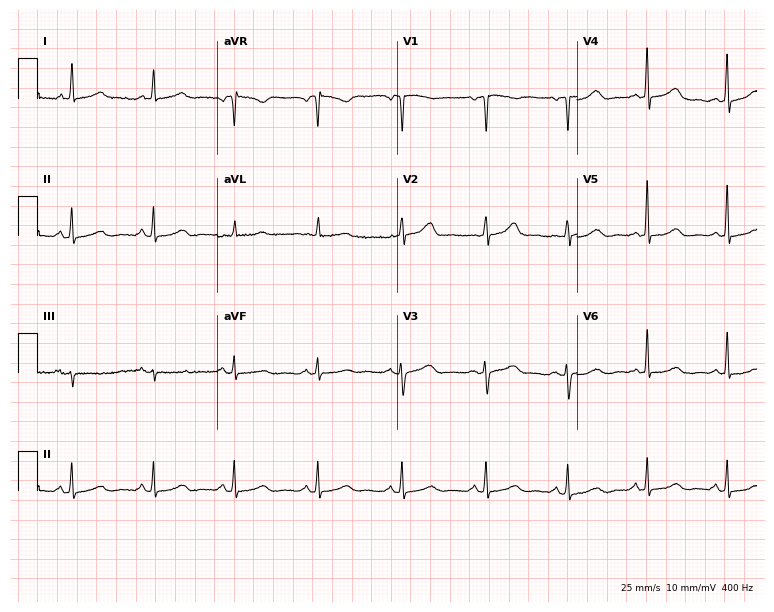
Electrocardiogram (7.3-second recording at 400 Hz), a 66-year-old female. Overall reading on record: normal ECG.